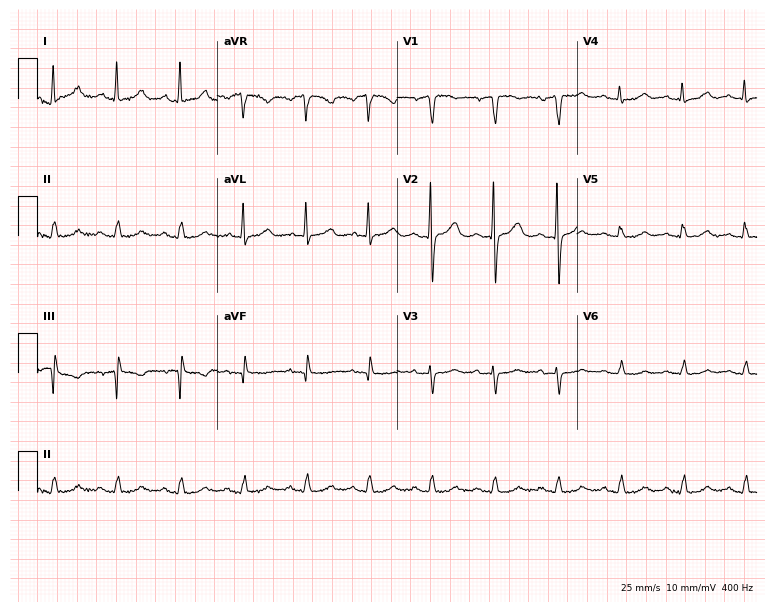
12-lead ECG (7.3-second recording at 400 Hz) from a 70-year-old female. Screened for six findings — first-degree AV block, right bundle branch block, left bundle branch block, sinus bradycardia, atrial fibrillation, sinus tachycardia — none is recorded.